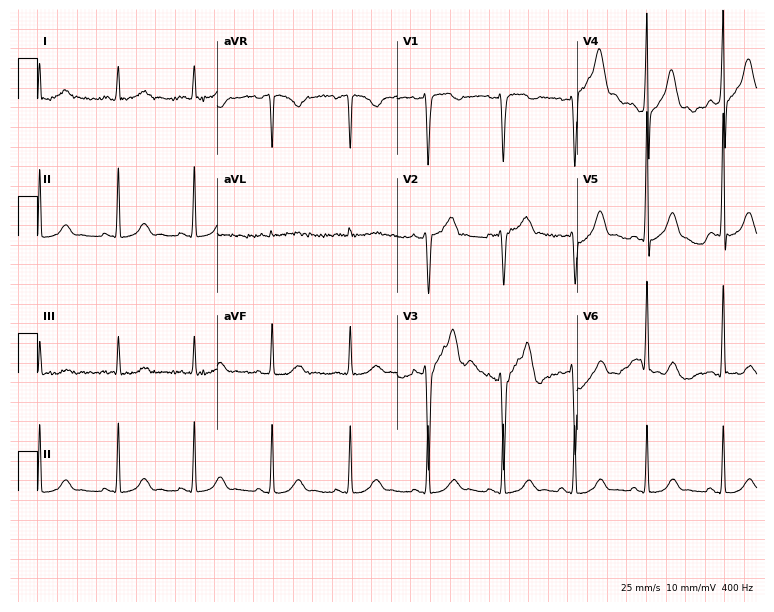
Standard 12-lead ECG recorded from a 36-year-old male patient. None of these six findings is recorded: first-degree AV block, right bundle branch block, left bundle branch block, sinus bradycardia, atrial fibrillation, sinus tachycardia.